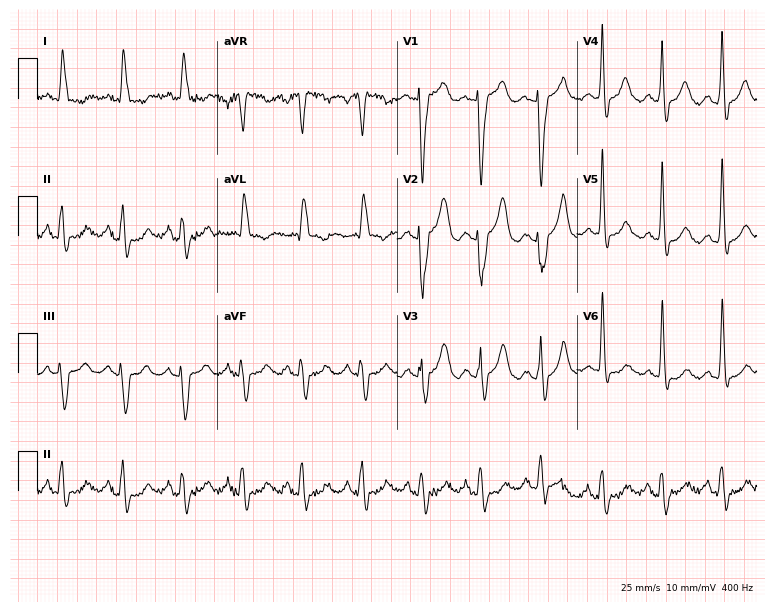
Electrocardiogram (7.3-second recording at 400 Hz), a female patient, 63 years old. Of the six screened findings (first-degree AV block, right bundle branch block (RBBB), left bundle branch block (LBBB), sinus bradycardia, atrial fibrillation (AF), sinus tachycardia), none is recorded. Findings outside these six are not listed.